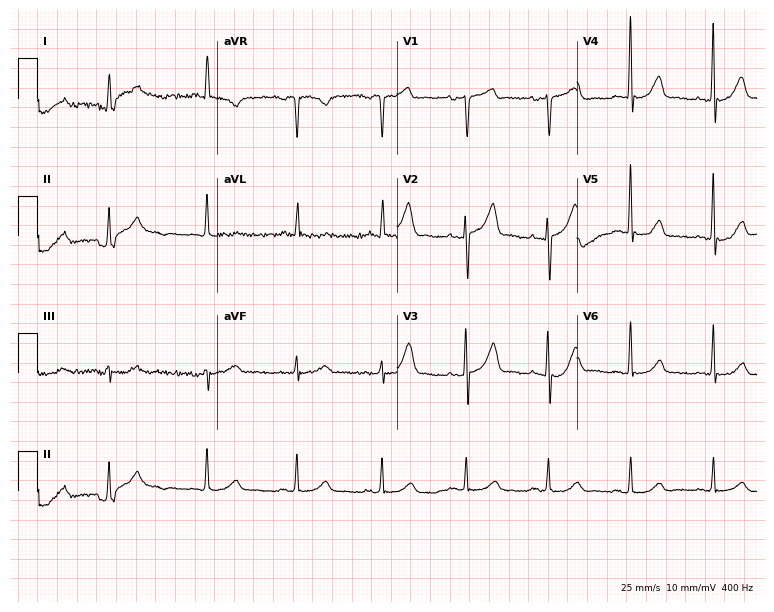
Resting 12-lead electrocardiogram (7.3-second recording at 400 Hz). Patient: an 83-year-old man. None of these six findings is recorded: first-degree AV block, right bundle branch block, left bundle branch block, sinus bradycardia, atrial fibrillation, sinus tachycardia.